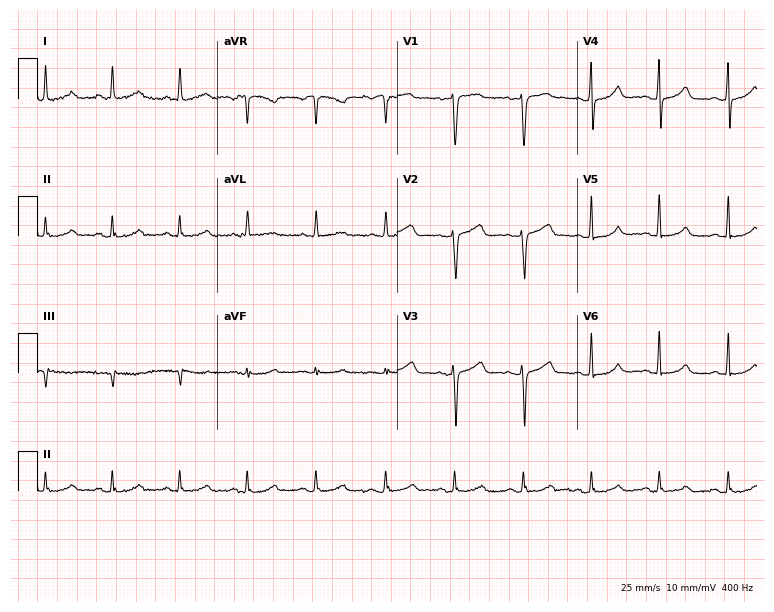
12-lead ECG from a female patient, 52 years old (7.3-second recording at 400 Hz). Recorded interpretation: within normal limits.